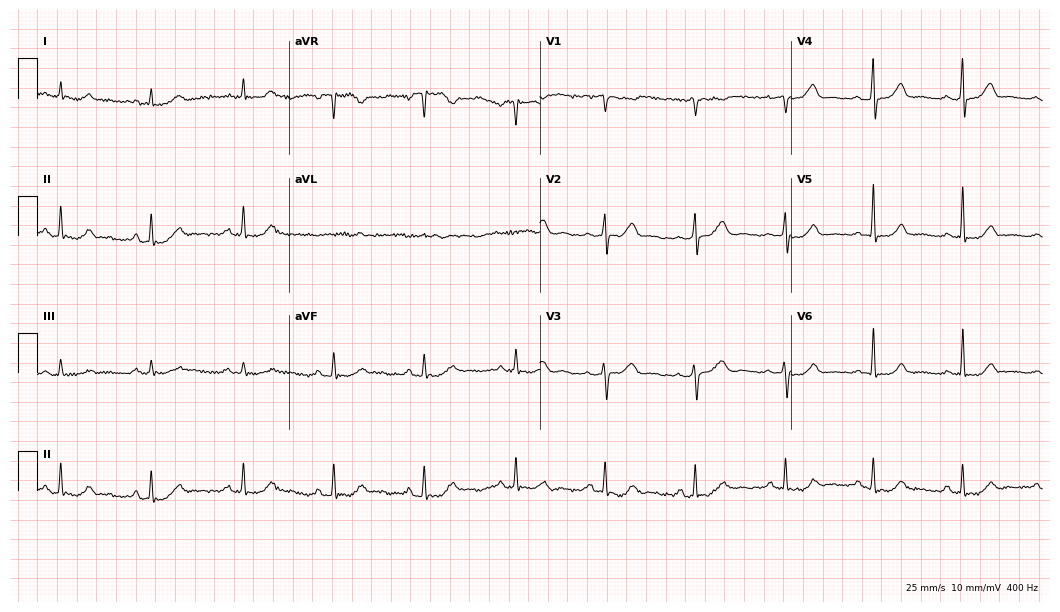
Standard 12-lead ECG recorded from a female patient, 49 years old. Read as a normal ECG.